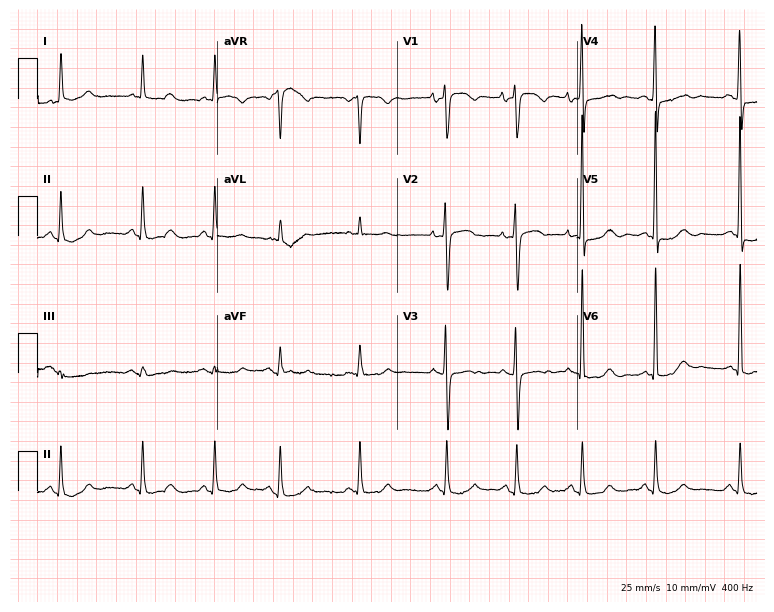
12-lead ECG from a female, 72 years old (7.3-second recording at 400 Hz). Recorded interpretation: within normal limits.